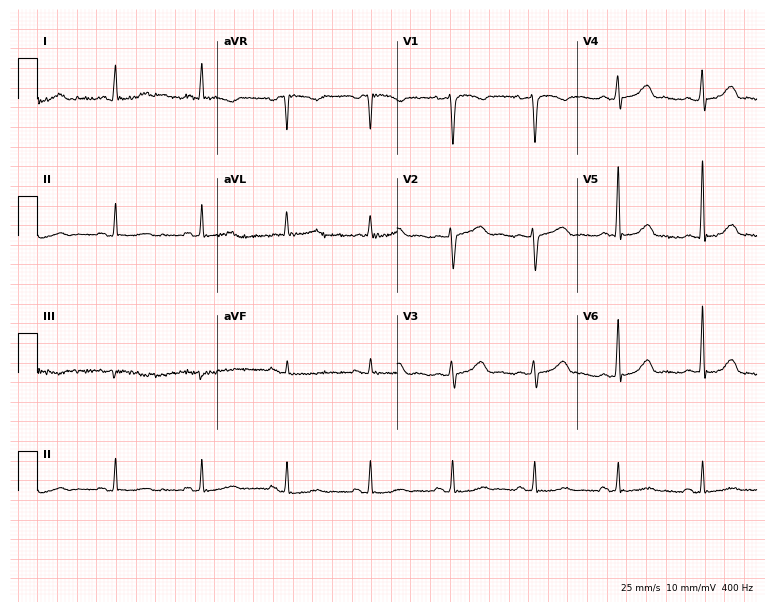
12-lead ECG from a 58-year-old female patient (7.3-second recording at 400 Hz). Recorded interpretation: within normal limits.